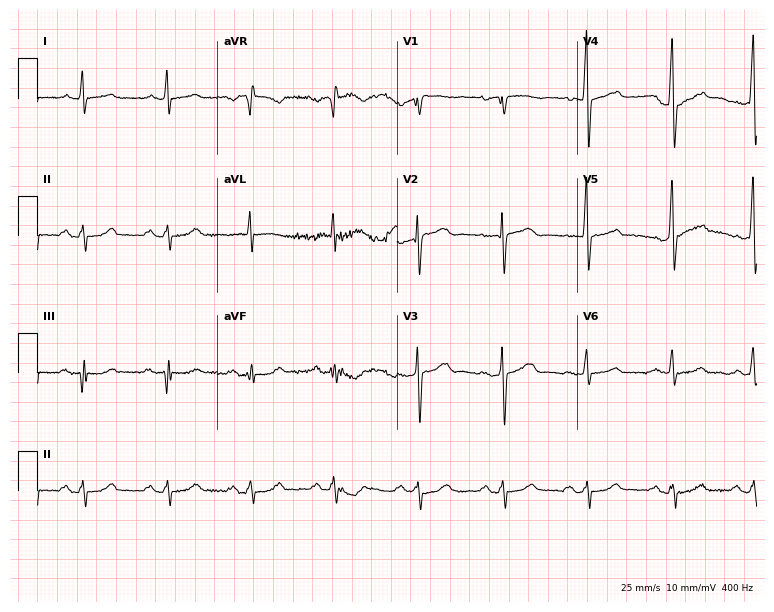
12-lead ECG from a male, 62 years old. Labelled as a normal ECG.